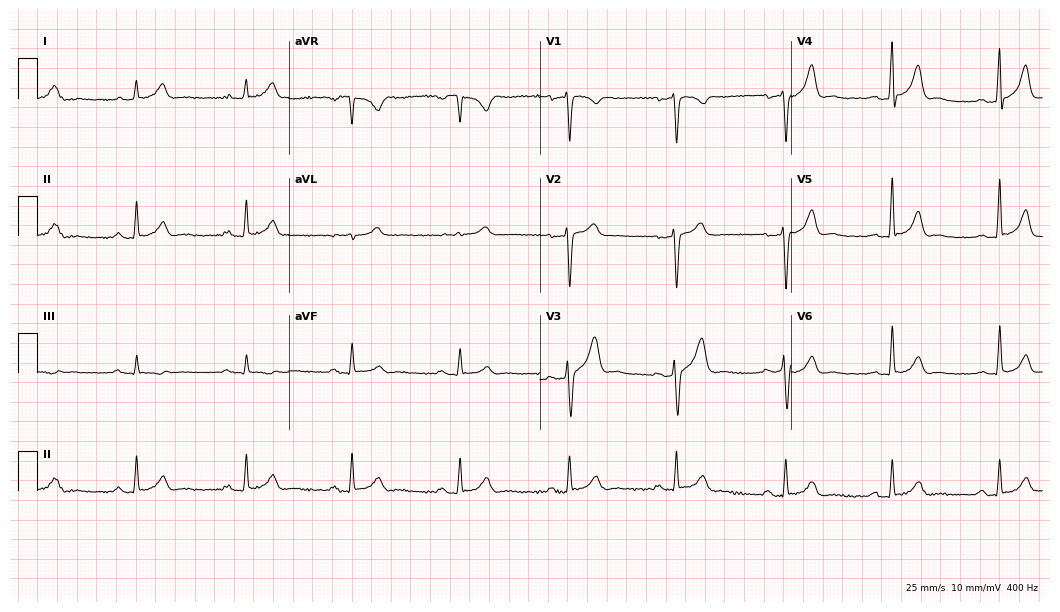
Standard 12-lead ECG recorded from a 42-year-old male patient. Read as a normal ECG.